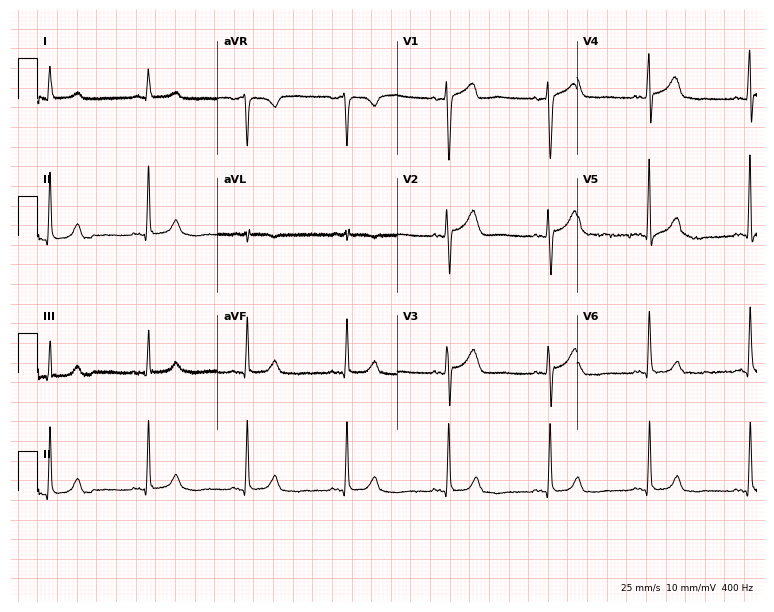
Resting 12-lead electrocardiogram. Patient: a 67-year-old male. None of these six findings is recorded: first-degree AV block, right bundle branch block (RBBB), left bundle branch block (LBBB), sinus bradycardia, atrial fibrillation (AF), sinus tachycardia. Only these six findings were labelled.